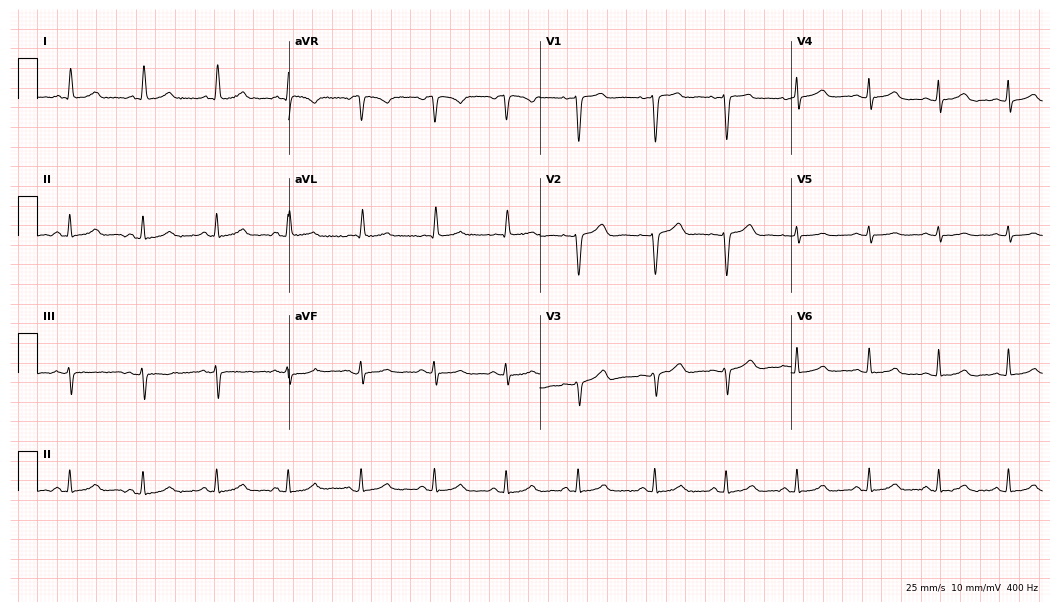
12-lead ECG from a 50-year-old female. No first-degree AV block, right bundle branch block (RBBB), left bundle branch block (LBBB), sinus bradycardia, atrial fibrillation (AF) or sinus tachycardia recorded for this tracing. Findings outside these six are not listed.